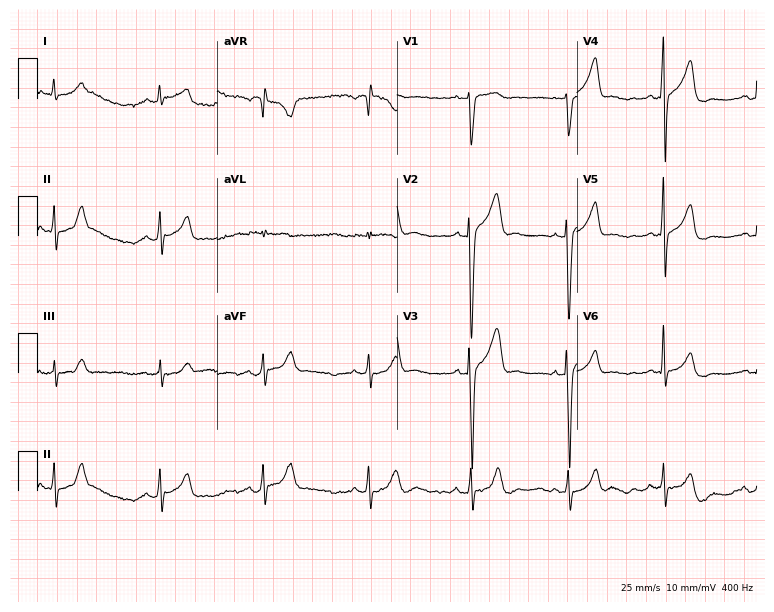
12-lead ECG from a male, 32 years old. Labelled as a normal ECG.